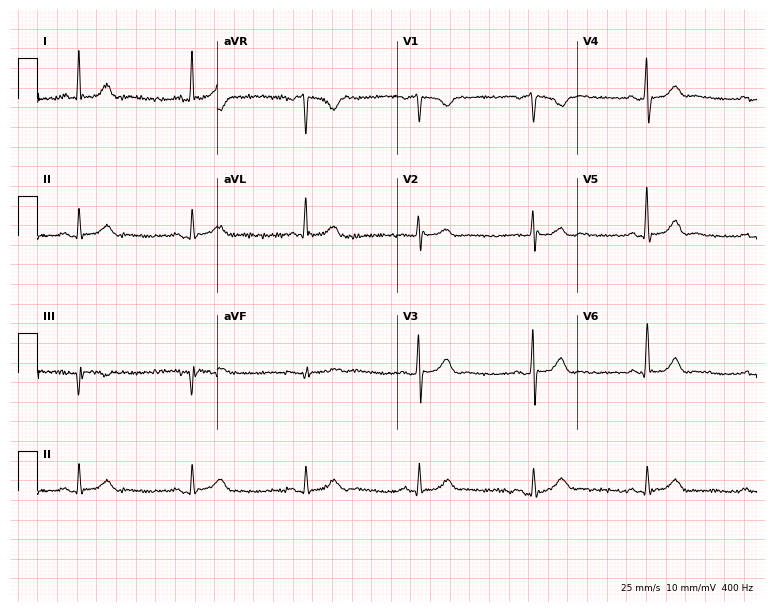
12-lead ECG from a 70-year-old male. Labelled as a normal ECG.